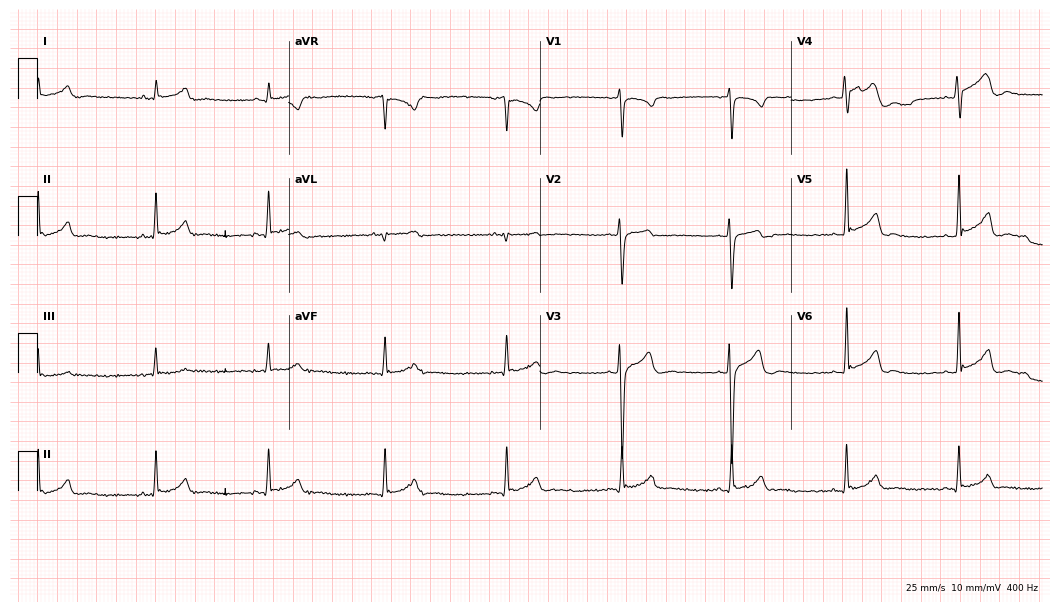
ECG (10.2-second recording at 400 Hz) — a male patient, 19 years old. Labelled as a normal ECG.